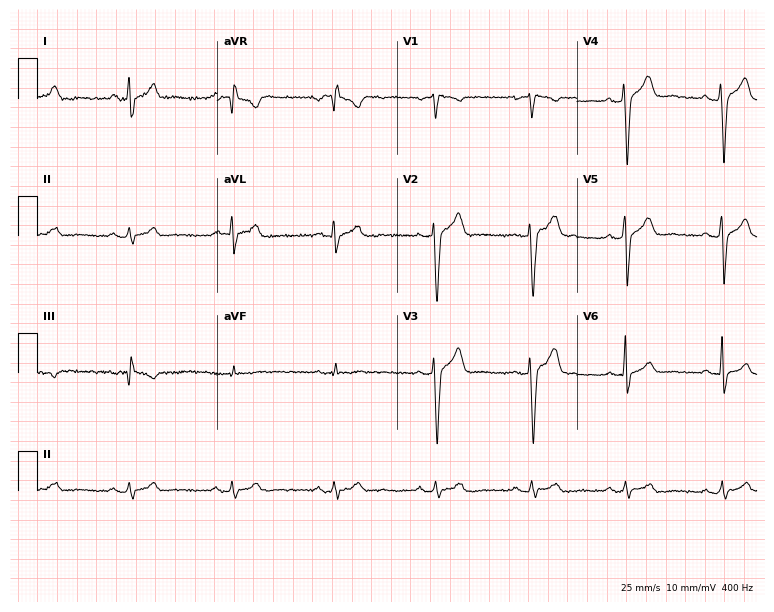
Electrocardiogram (7.3-second recording at 400 Hz), a male patient, 34 years old. Of the six screened findings (first-degree AV block, right bundle branch block, left bundle branch block, sinus bradycardia, atrial fibrillation, sinus tachycardia), none is recorded. Findings outside these six are not listed.